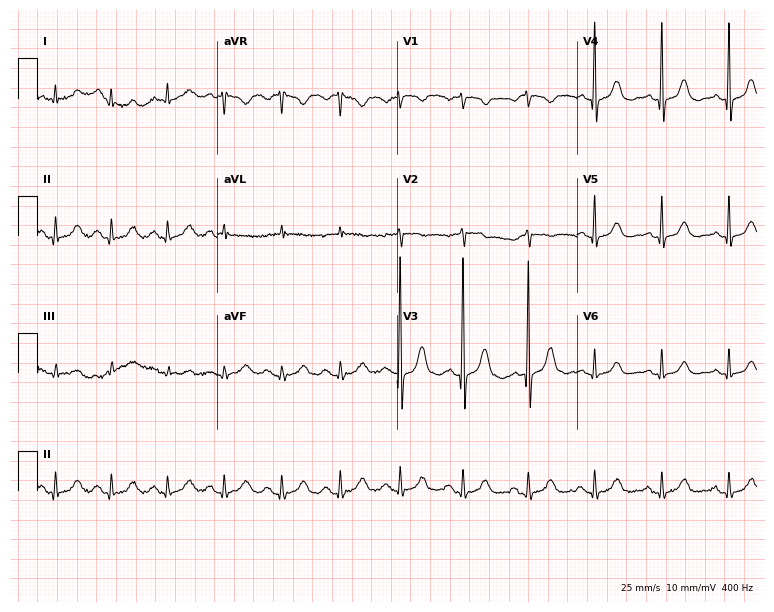
12-lead ECG from a 71-year-old woman. Recorded interpretation: within normal limits.